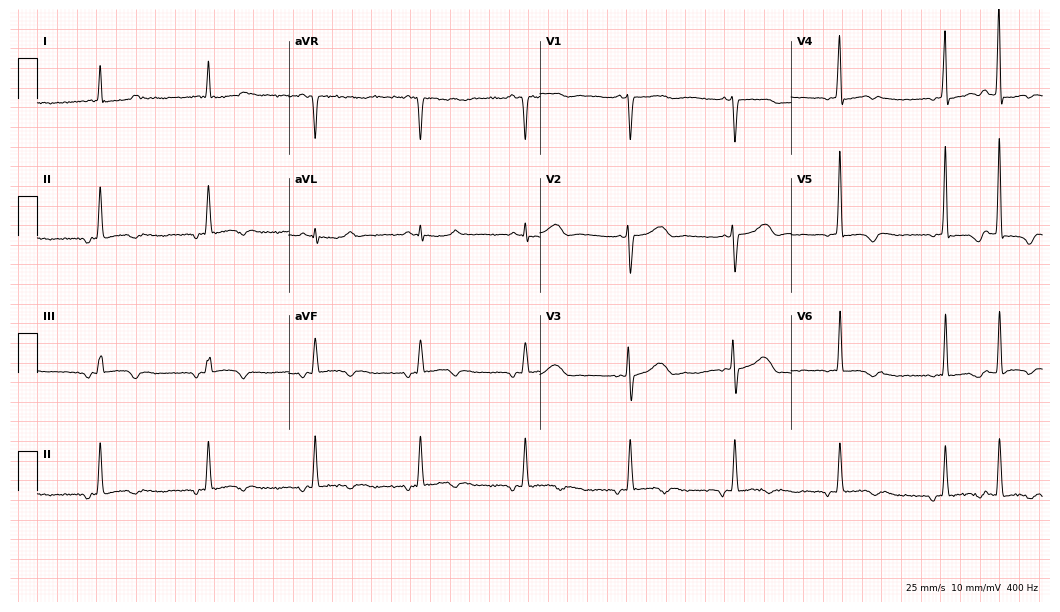
Standard 12-lead ECG recorded from a female patient, 59 years old. None of these six findings is recorded: first-degree AV block, right bundle branch block (RBBB), left bundle branch block (LBBB), sinus bradycardia, atrial fibrillation (AF), sinus tachycardia. Other findings, if any, are not listed.